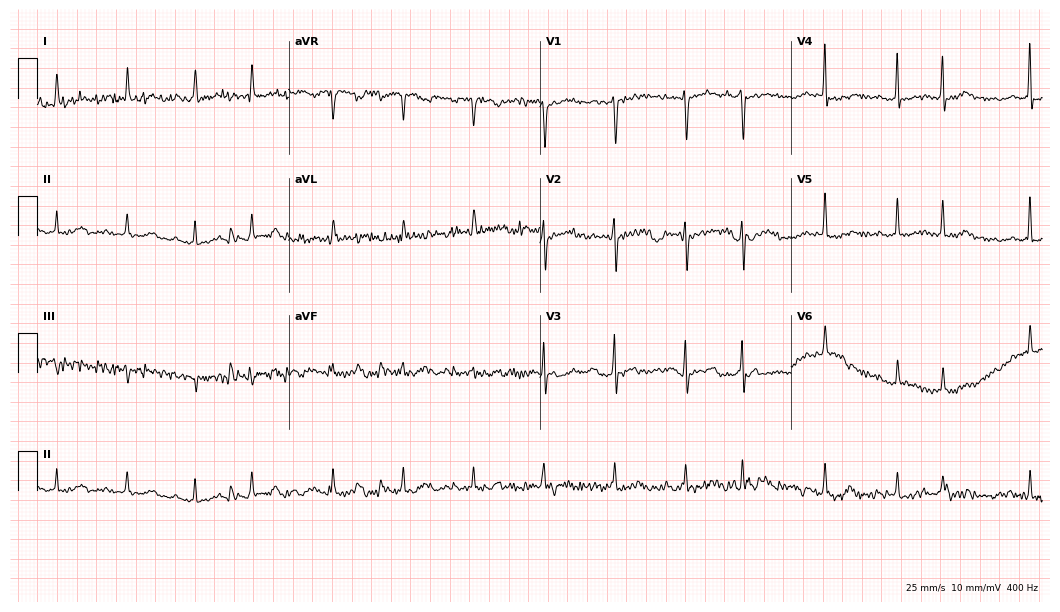
12-lead ECG from a man, 69 years old (10.2-second recording at 400 Hz). No first-degree AV block, right bundle branch block, left bundle branch block, sinus bradycardia, atrial fibrillation or sinus tachycardia recorded for this tracing.